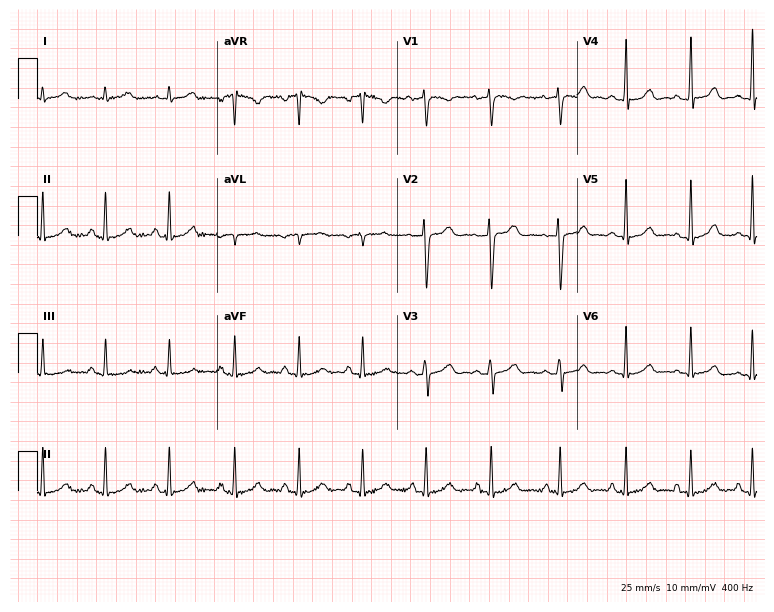
Standard 12-lead ECG recorded from a 28-year-old woman. Read as a normal ECG.